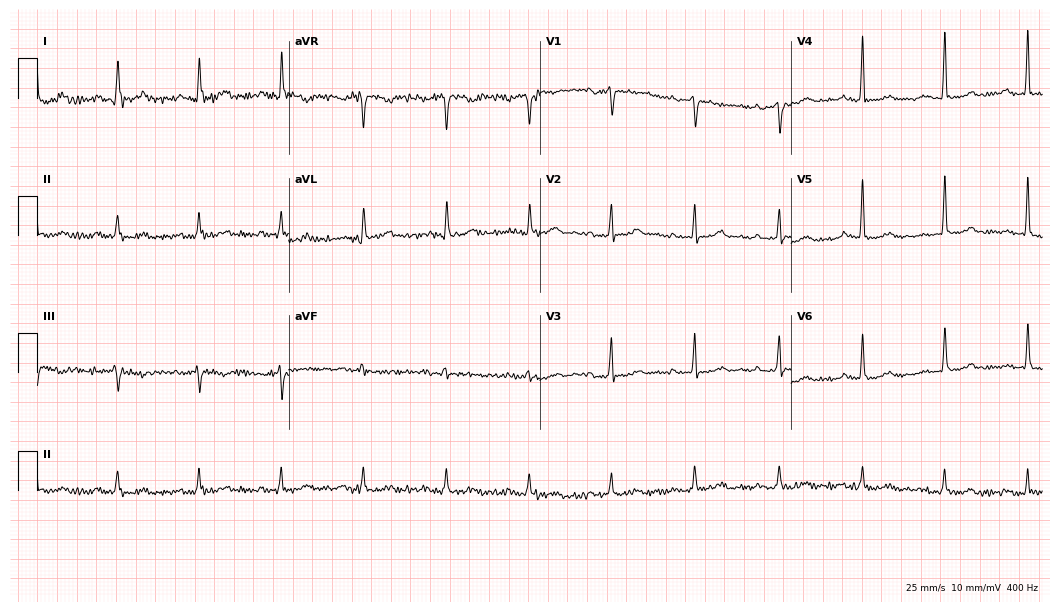
12-lead ECG from a male, 60 years old (10.2-second recording at 400 Hz). No first-degree AV block, right bundle branch block (RBBB), left bundle branch block (LBBB), sinus bradycardia, atrial fibrillation (AF) or sinus tachycardia recorded for this tracing. Only these six findings were labelled.